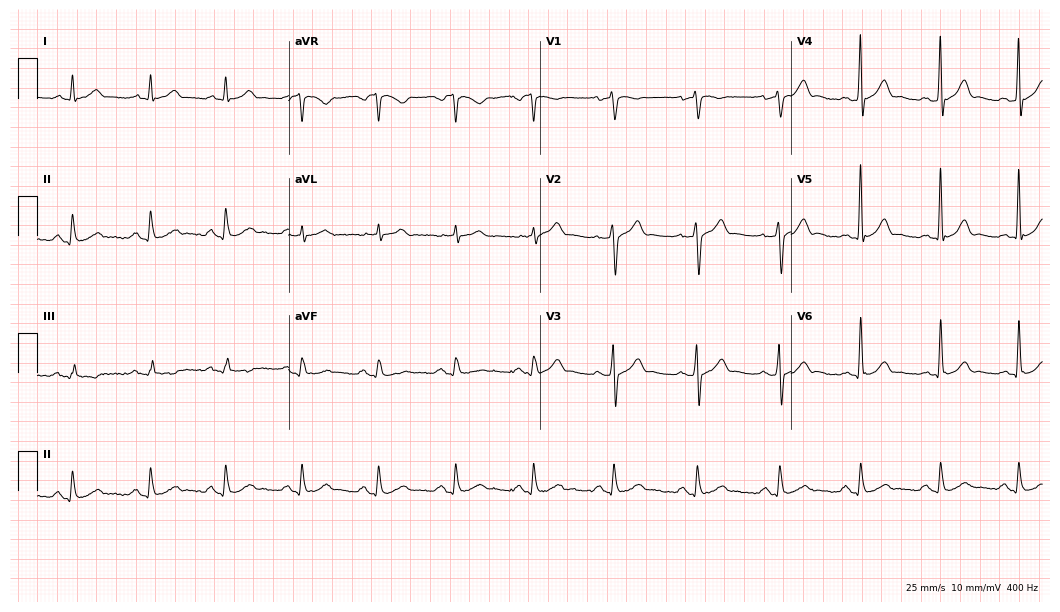
Standard 12-lead ECG recorded from a 52-year-old female. Read as a normal ECG.